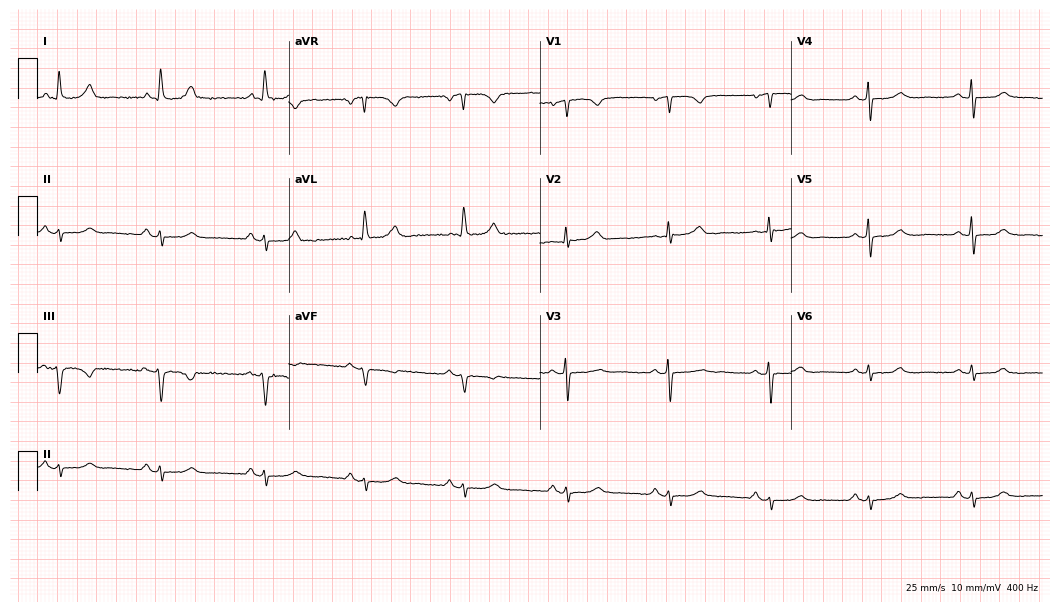
Electrocardiogram, a 69-year-old female. Of the six screened findings (first-degree AV block, right bundle branch block, left bundle branch block, sinus bradycardia, atrial fibrillation, sinus tachycardia), none is recorded. Findings outside these six are not listed.